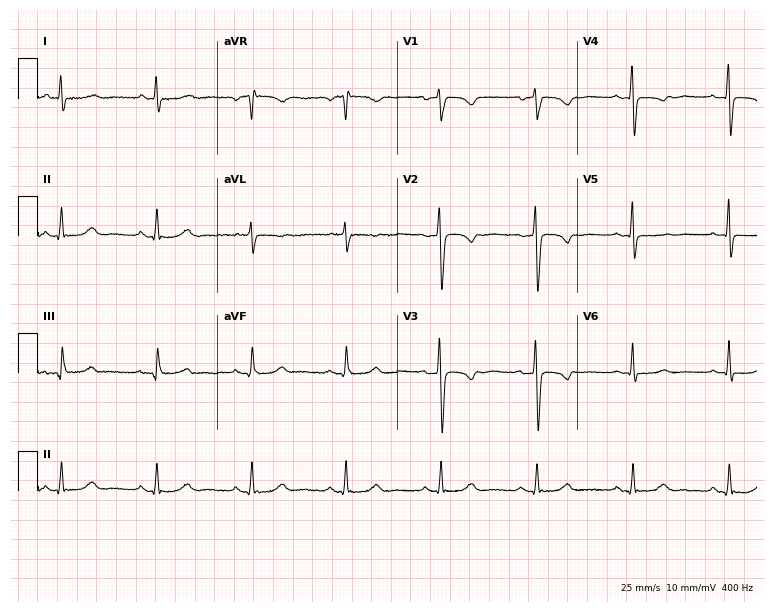
ECG (7.3-second recording at 400 Hz) — a 56-year-old female. Screened for six findings — first-degree AV block, right bundle branch block (RBBB), left bundle branch block (LBBB), sinus bradycardia, atrial fibrillation (AF), sinus tachycardia — none is recorded. Other findings, if any, are not listed.